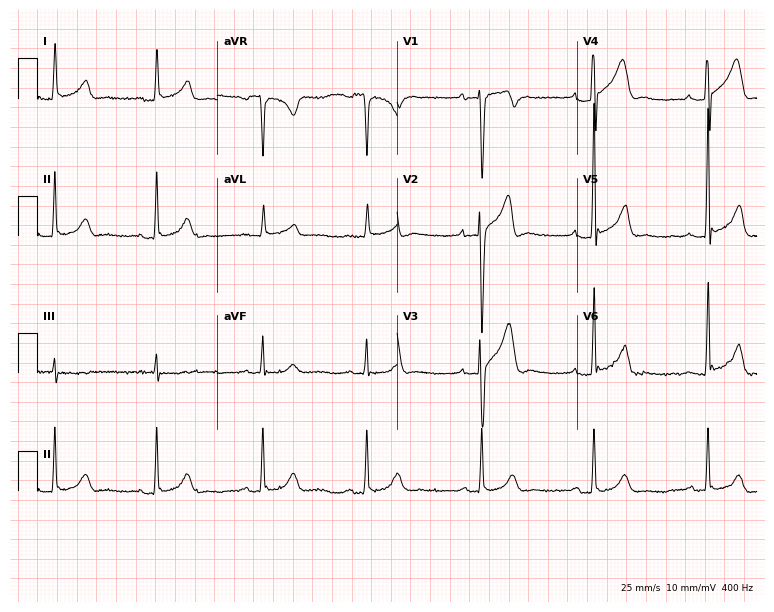
12-lead ECG from a man, 40 years old. Screened for six findings — first-degree AV block, right bundle branch block, left bundle branch block, sinus bradycardia, atrial fibrillation, sinus tachycardia — none is recorded.